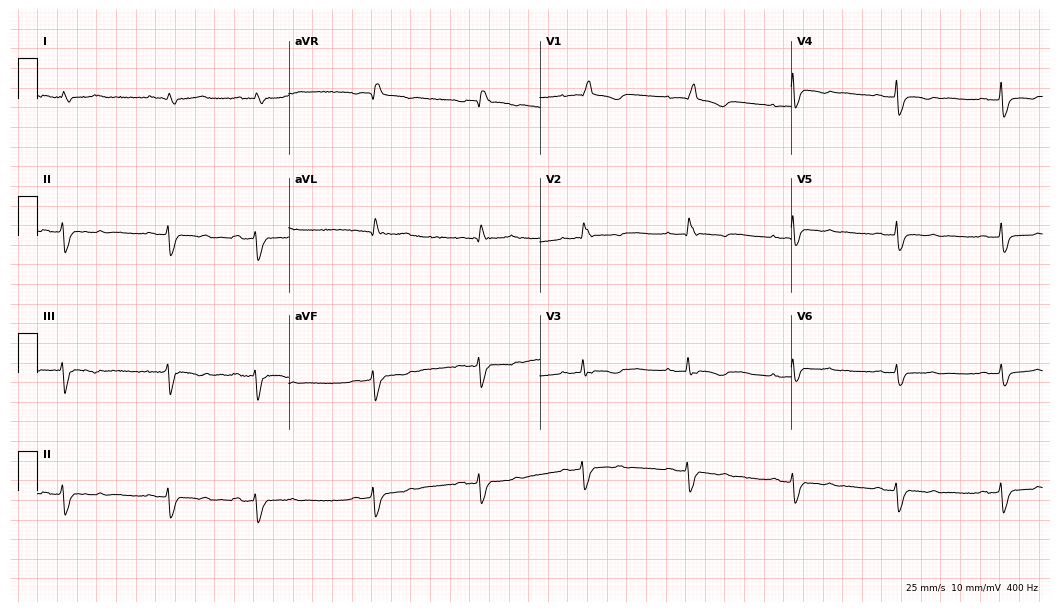
12-lead ECG from a woman, 80 years old. No first-degree AV block, right bundle branch block (RBBB), left bundle branch block (LBBB), sinus bradycardia, atrial fibrillation (AF) or sinus tachycardia recorded for this tracing. Other findings, if any, are not listed.